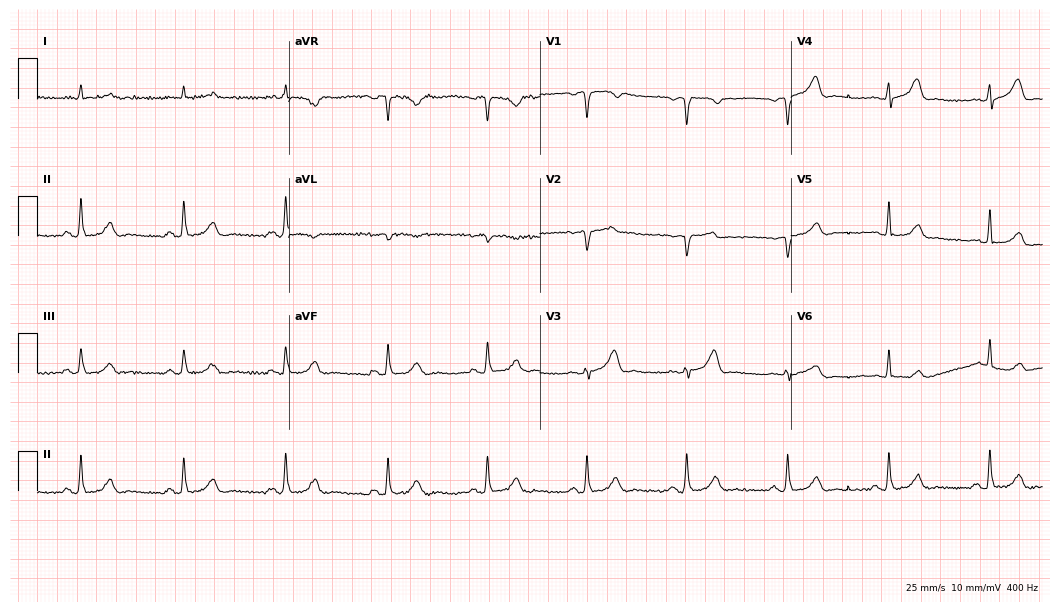
Standard 12-lead ECG recorded from a 67-year-old male (10.2-second recording at 400 Hz). Read as a normal ECG.